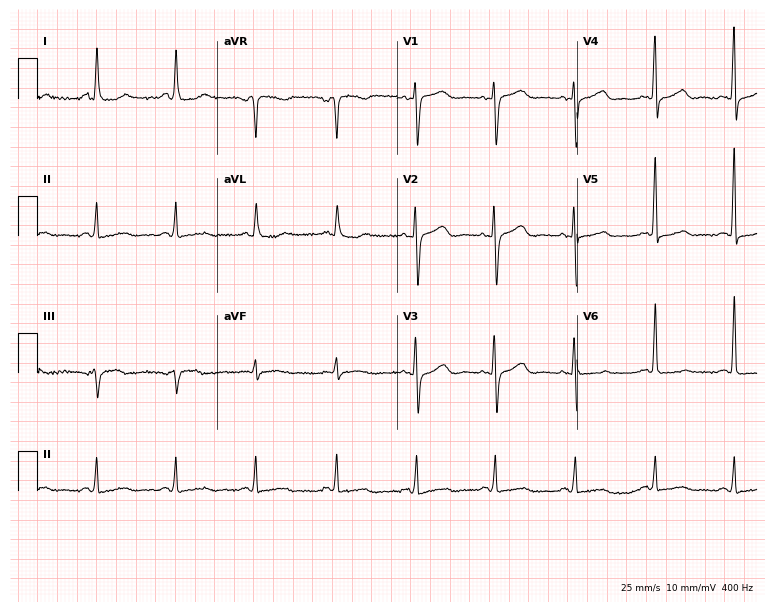
Standard 12-lead ECG recorded from a 70-year-old female (7.3-second recording at 400 Hz). None of these six findings is recorded: first-degree AV block, right bundle branch block, left bundle branch block, sinus bradycardia, atrial fibrillation, sinus tachycardia.